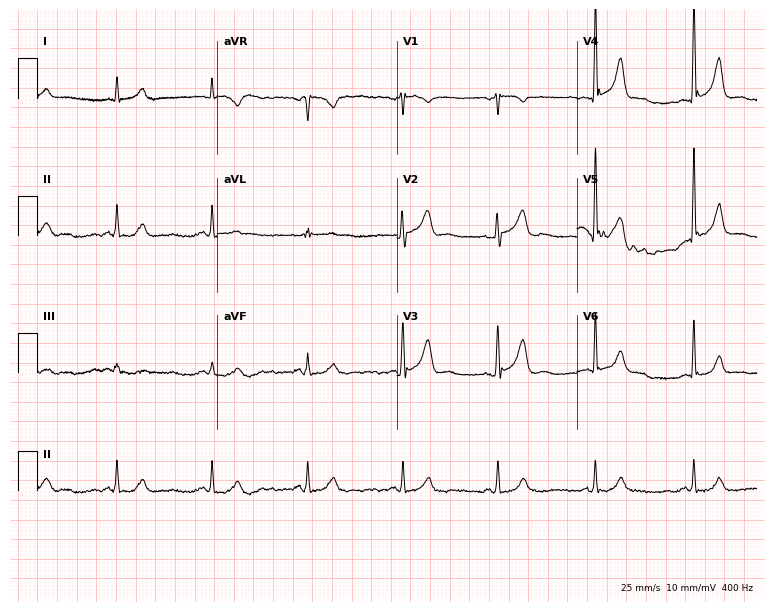
Electrocardiogram, a 66-year-old man. Of the six screened findings (first-degree AV block, right bundle branch block, left bundle branch block, sinus bradycardia, atrial fibrillation, sinus tachycardia), none is recorded. Only these six findings were labelled.